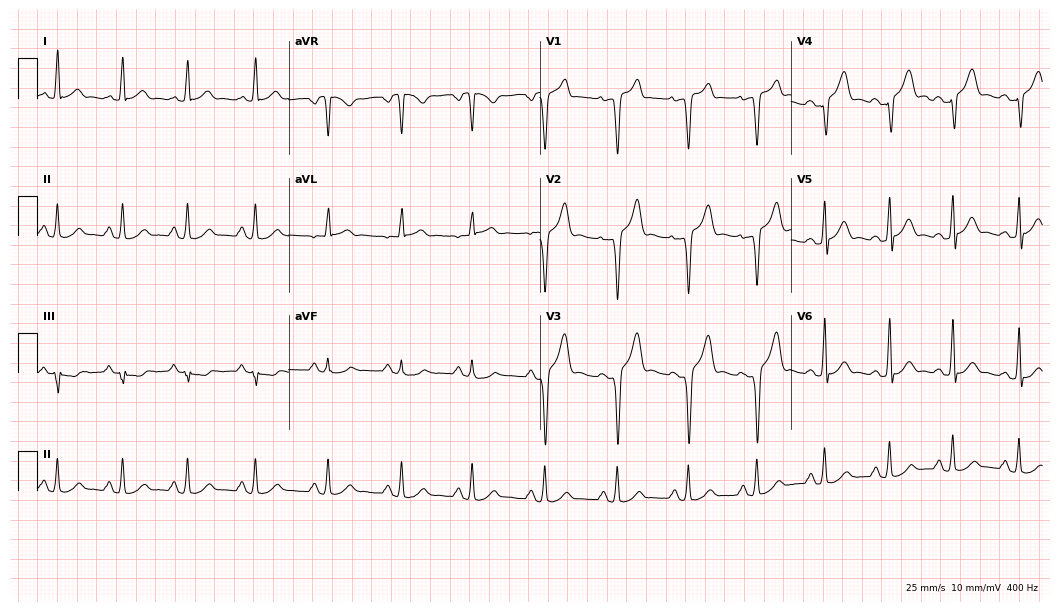
Electrocardiogram, a male, 33 years old. Of the six screened findings (first-degree AV block, right bundle branch block (RBBB), left bundle branch block (LBBB), sinus bradycardia, atrial fibrillation (AF), sinus tachycardia), none is recorded.